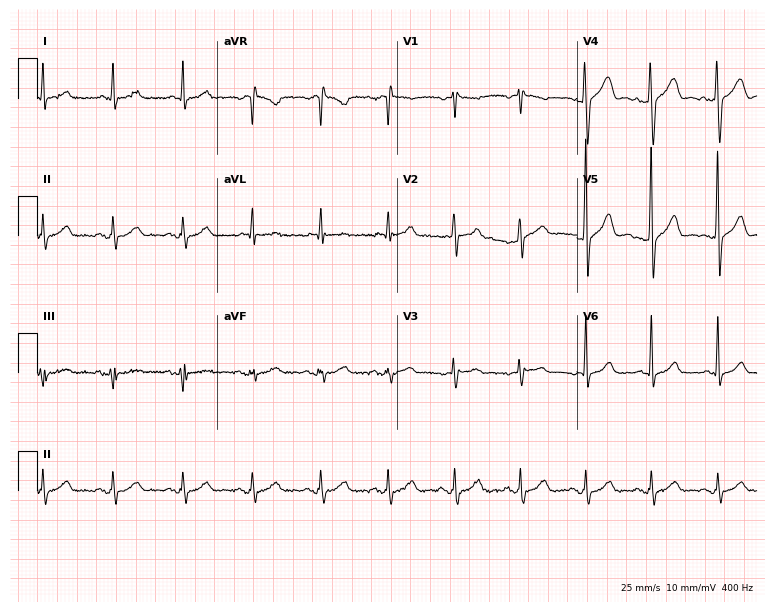
Electrocardiogram, a man, 71 years old. Of the six screened findings (first-degree AV block, right bundle branch block, left bundle branch block, sinus bradycardia, atrial fibrillation, sinus tachycardia), none is recorded.